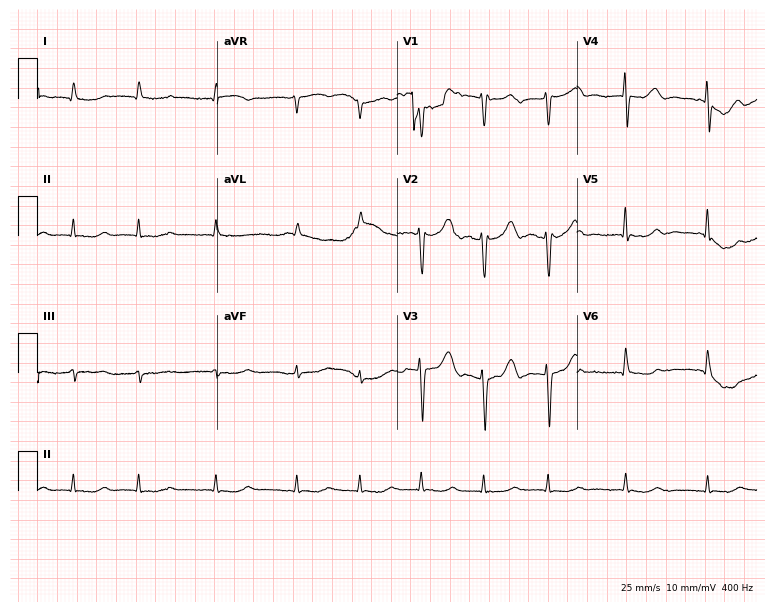
Standard 12-lead ECG recorded from a man, 85 years old. The tracing shows atrial fibrillation (AF).